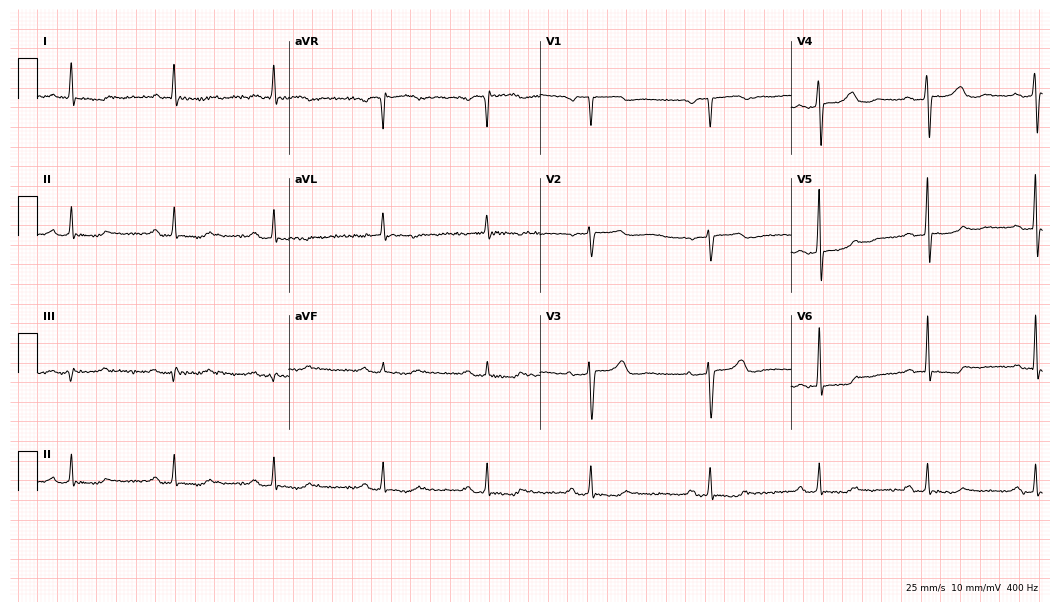
12-lead ECG from a female, 72 years old. Shows first-degree AV block.